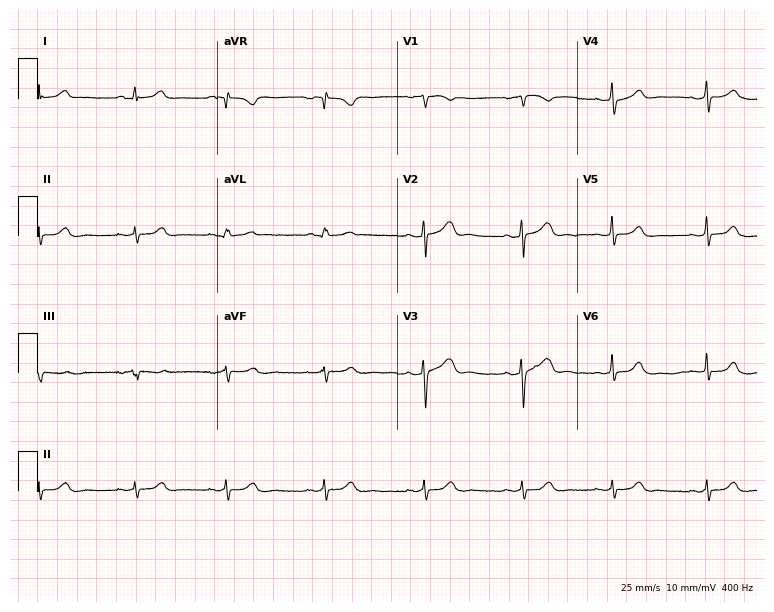
Standard 12-lead ECG recorded from a female patient, 22 years old. None of these six findings is recorded: first-degree AV block, right bundle branch block (RBBB), left bundle branch block (LBBB), sinus bradycardia, atrial fibrillation (AF), sinus tachycardia.